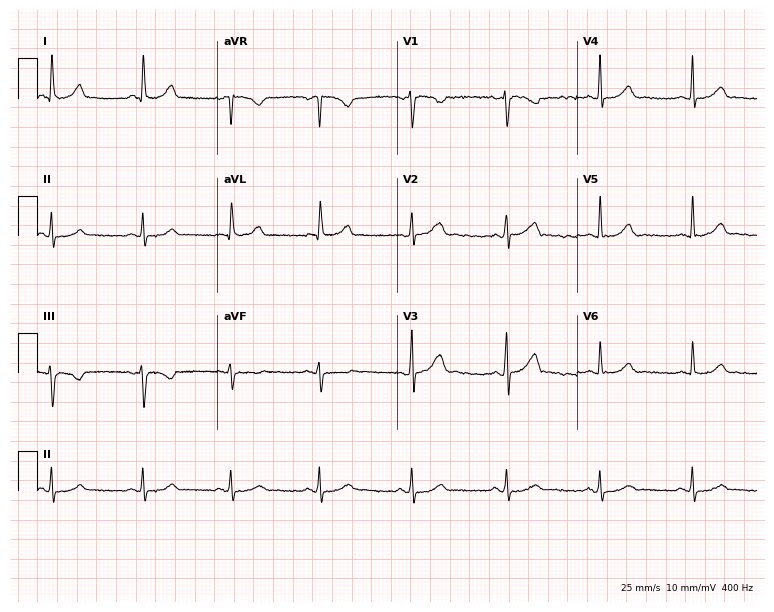
12-lead ECG from a 46-year-old woman. Recorded interpretation: within normal limits.